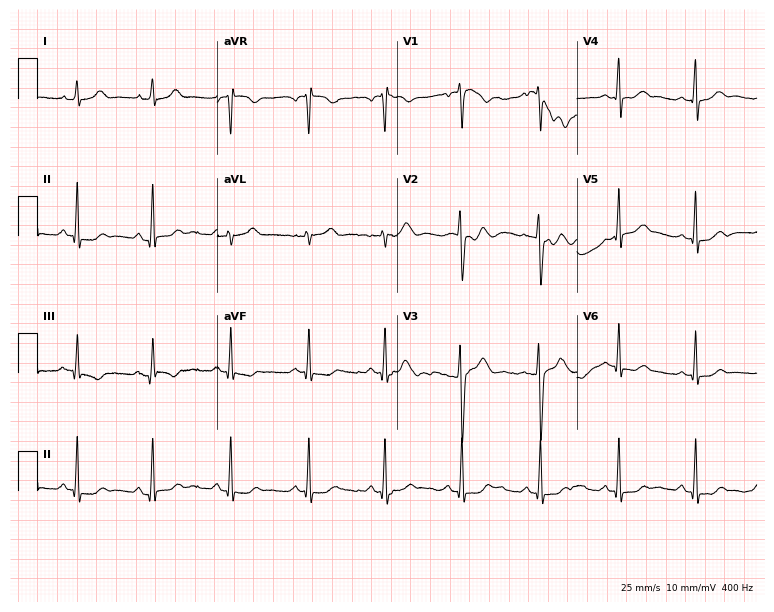
Resting 12-lead electrocardiogram. Patient: a 44-year-old female. None of these six findings is recorded: first-degree AV block, right bundle branch block (RBBB), left bundle branch block (LBBB), sinus bradycardia, atrial fibrillation (AF), sinus tachycardia. Other findings, if any, are not listed.